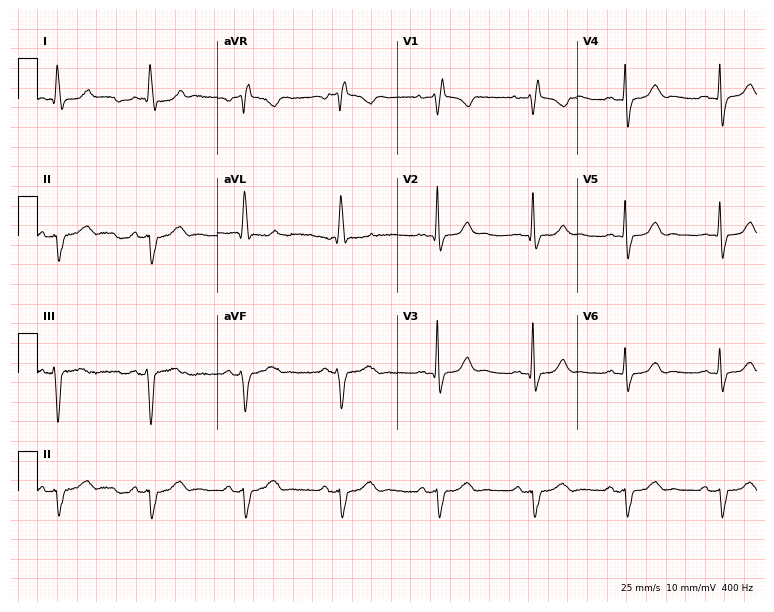
12-lead ECG (7.3-second recording at 400 Hz) from a 46-year-old woman. Screened for six findings — first-degree AV block, right bundle branch block, left bundle branch block, sinus bradycardia, atrial fibrillation, sinus tachycardia — none is recorded.